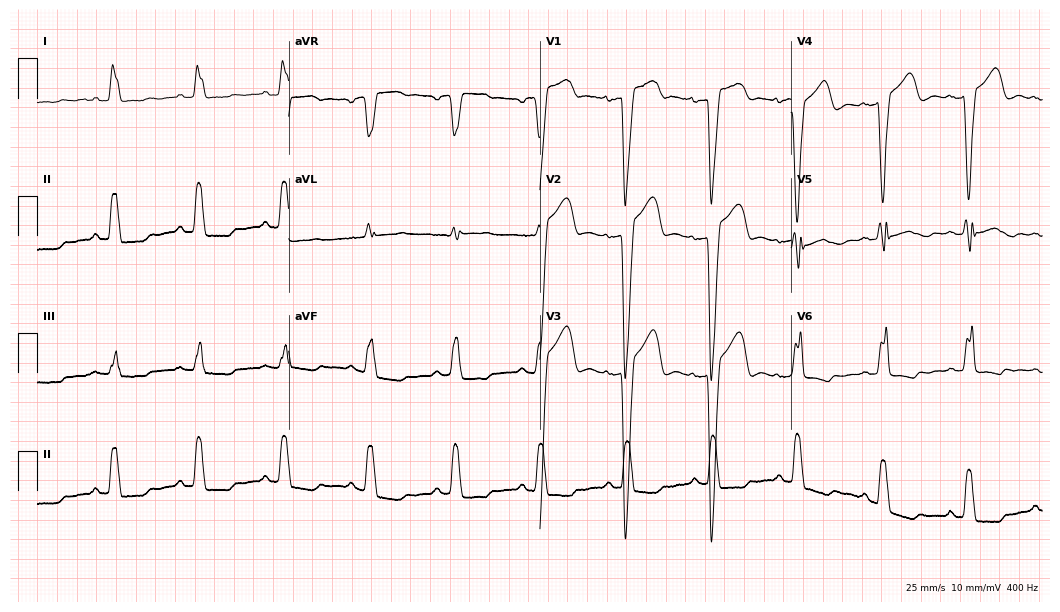
12-lead ECG (10.2-second recording at 400 Hz) from a 43-year-old female patient. Findings include left bundle branch block.